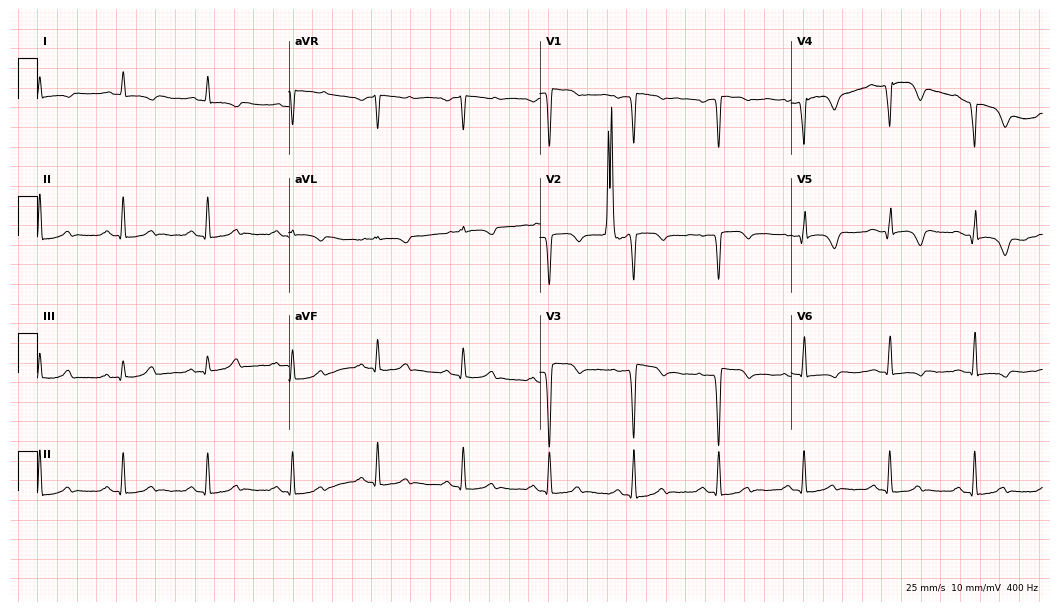
Standard 12-lead ECG recorded from a female patient, 75 years old (10.2-second recording at 400 Hz). None of these six findings is recorded: first-degree AV block, right bundle branch block (RBBB), left bundle branch block (LBBB), sinus bradycardia, atrial fibrillation (AF), sinus tachycardia. Other findings, if any, are not listed.